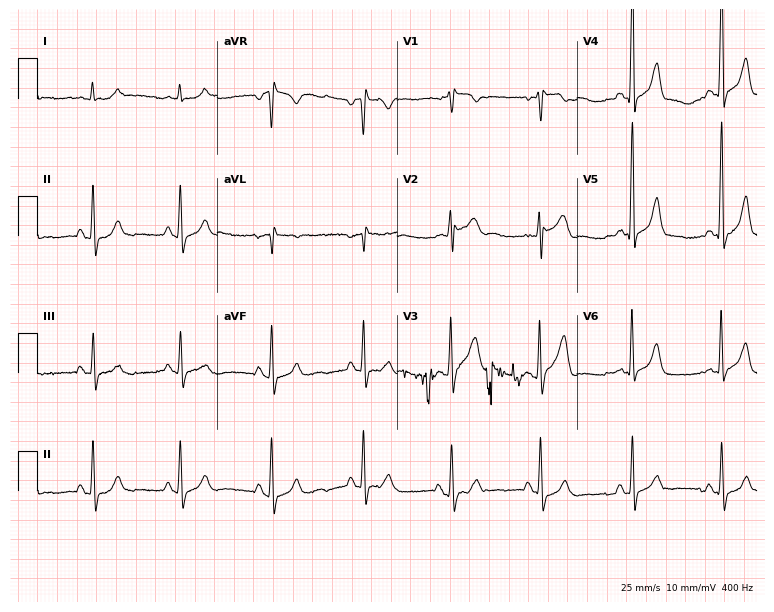
Standard 12-lead ECG recorded from a 66-year-old male (7.3-second recording at 400 Hz). None of these six findings is recorded: first-degree AV block, right bundle branch block (RBBB), left bundle branch block (LBBB), sinus bradycardia, atrial fibrillation (AF), sinus tachycardia.